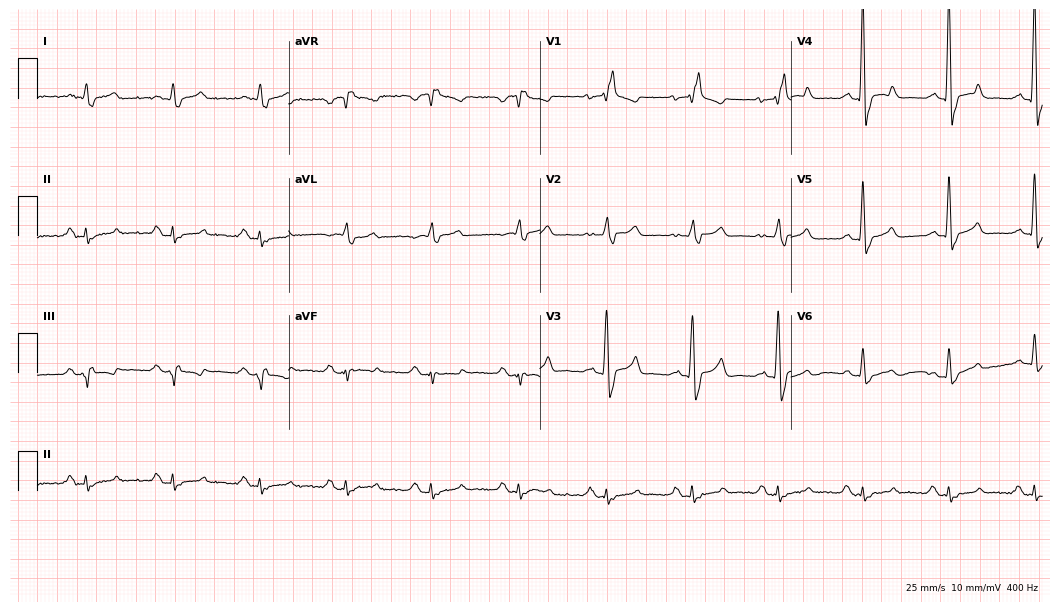
Resting 12-lead electrocardiogram. Patient: a 72-year-old male. The tracing shows right bundle branch block.